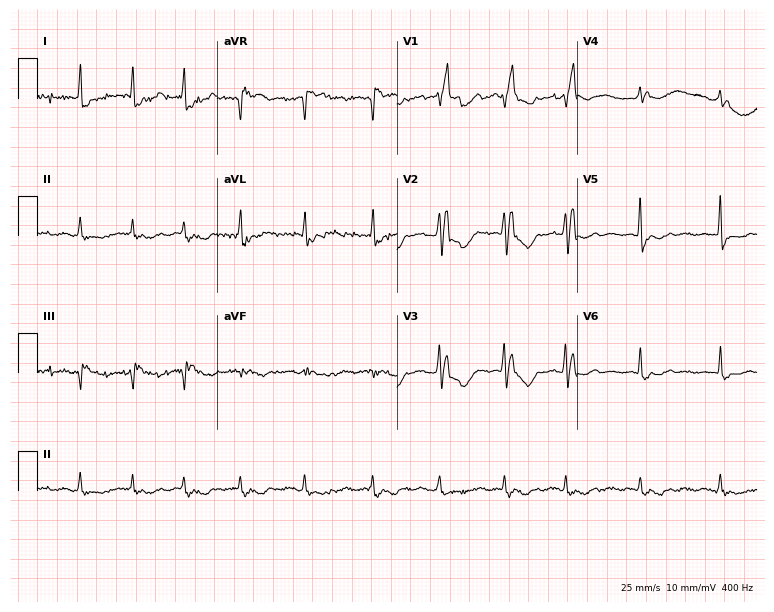
Standard 12-lead ECG recorded from a female patient, 83 years old (7.3-second recording at 400 Hz). The tracing shows right bundle branch block, atrial fibrillation.